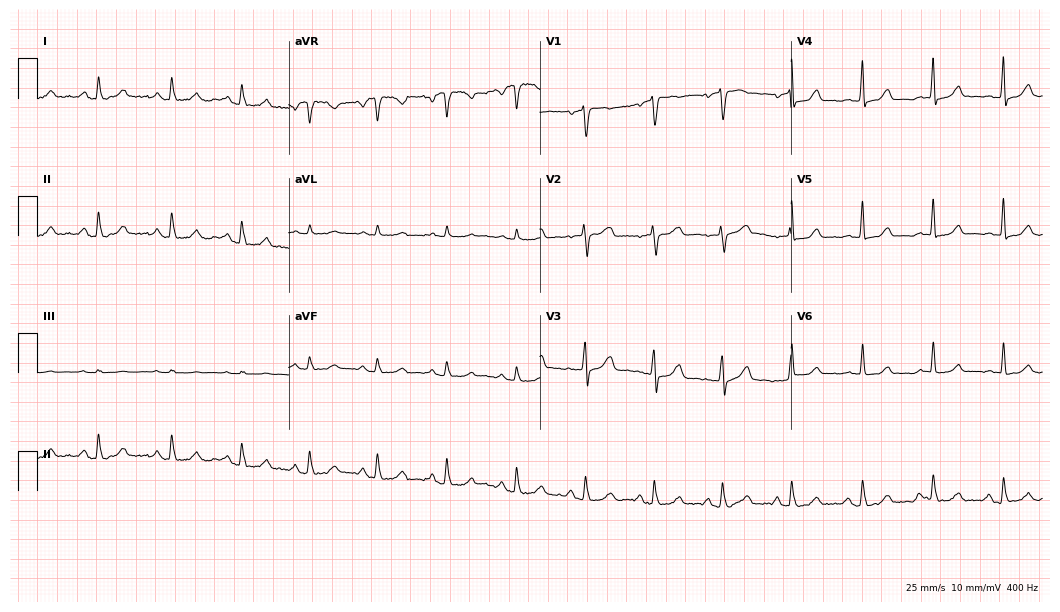
Electrocardiogram (10.2-second recording at 400 Hz), a 42-year-old female. Overall reading on record: normal ECG.